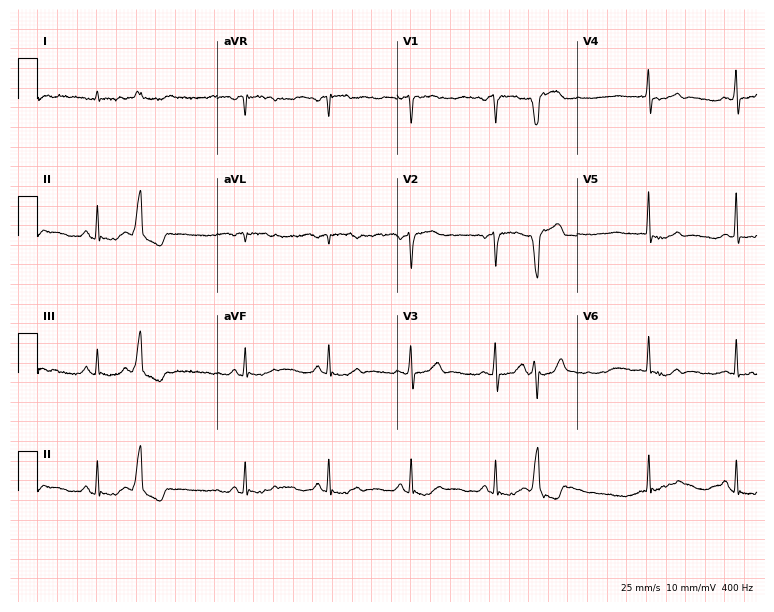
Resting 12-lead electrocardiogram. Patient: a 74-year-old man. None of these six findings is recorded: first-degree AV block, right bundle branch block, left bundle branch block, sinus bradycardia, atrial fibrillation, sinus tachycardia. Findings outside these six are not listed.